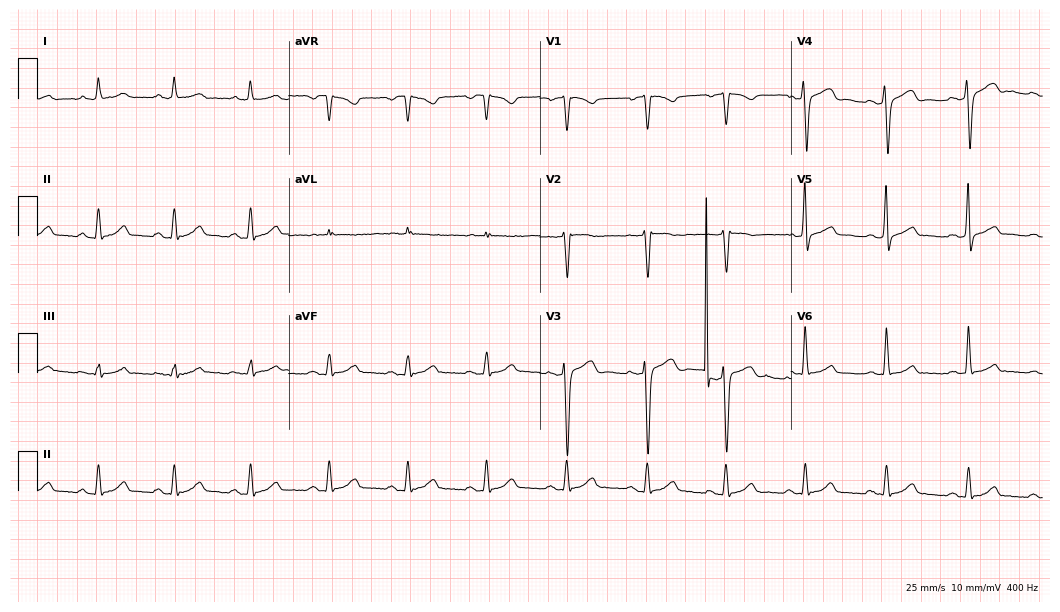
Resting 12-lead electrocardiogram (10.2-second recording at 400 Hz). Patient: a male, 45 years old. None of these six findings is recorded: first-degree AV block, right bundle branch block (RBBB), left bundle branch block (LBBB), sinus bradycardia, atrial fibrillation (AF), sinus tachycardia. Only these six findings were labelled.